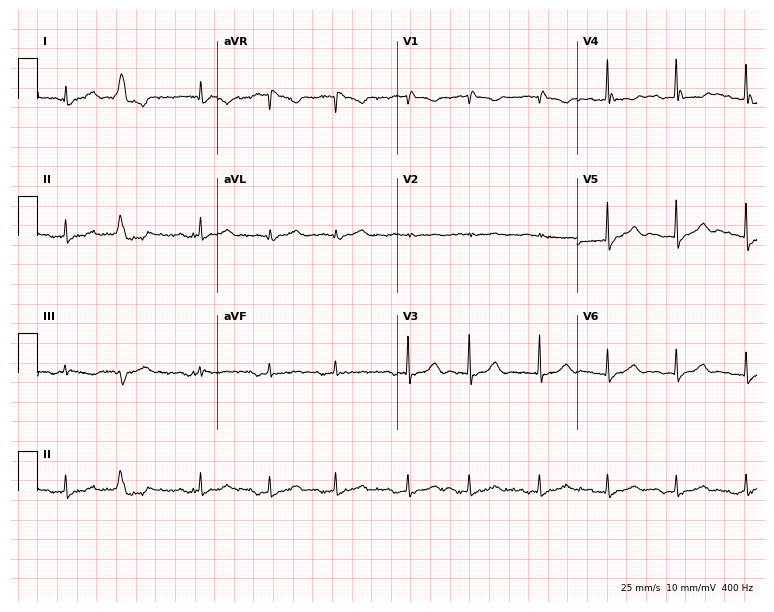
12-lead ECG from an 85-year-old female. Screened for six findings — first-degree AV block, right bundle branch block (RBBB), left bundle branch block (LBBB), sinus bradycardia, atrial fibrillation (AF), sinus tachycardia — none is recorded.